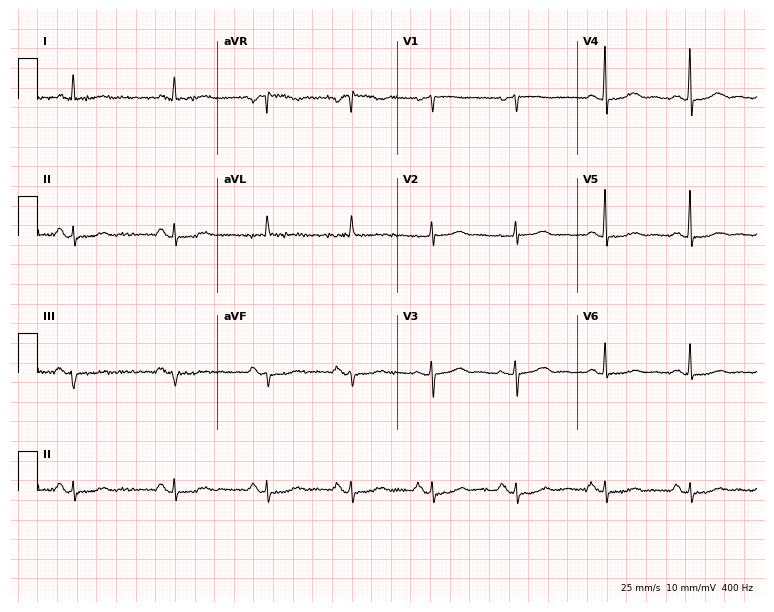
12-lead ECG (7.3-second recording at 400 Hz) from a 73-year-old female patient. Screened for six findings — first-degree AV block, right bundle branch block, left bundle branch block, sinus bradycardia, atrial fibrillation, sinus tachycardia — none is recorded.